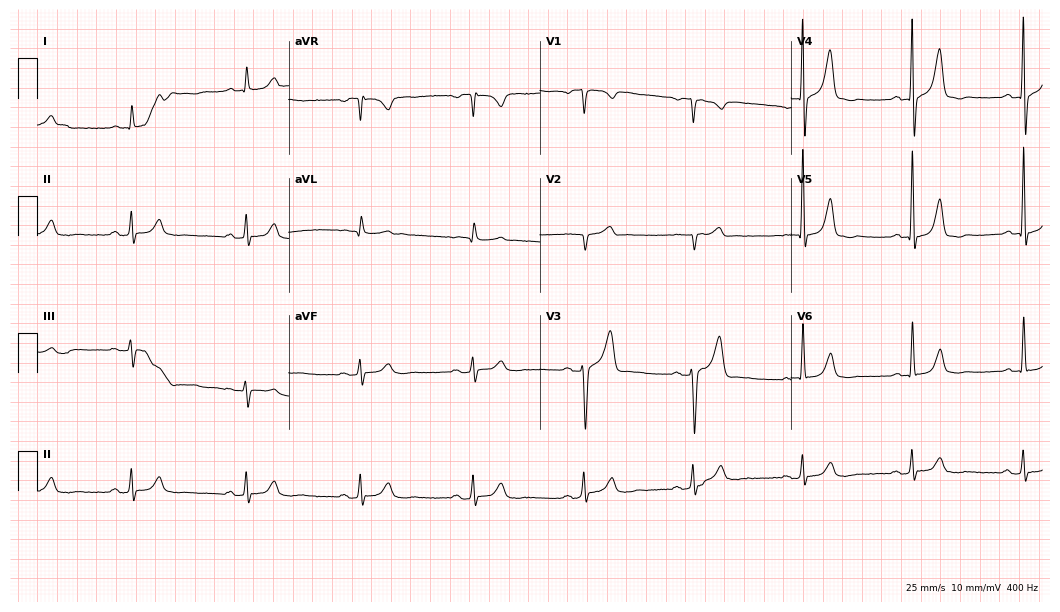
Electrocardiogram, a man, 51 years old. Overall reading on record: normal ECG.